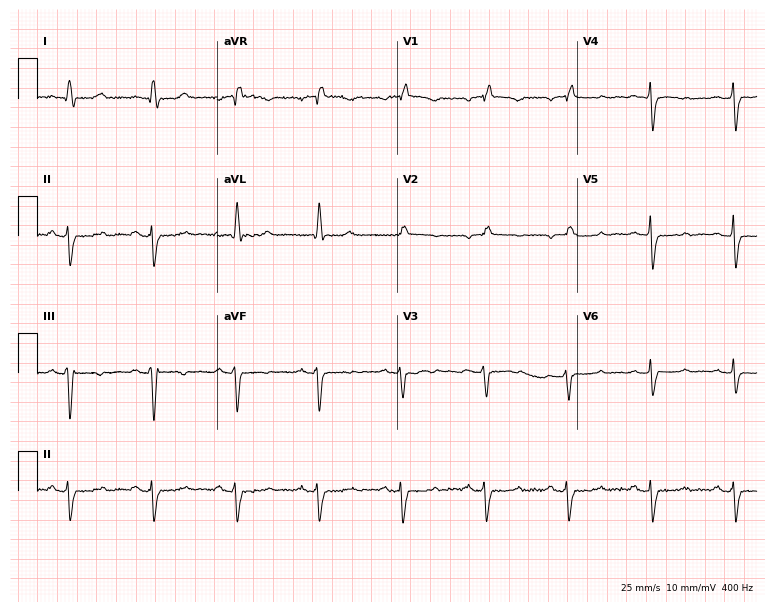
12-lead ECG from a woman, 52 years old. Findings include right bundle branch block.